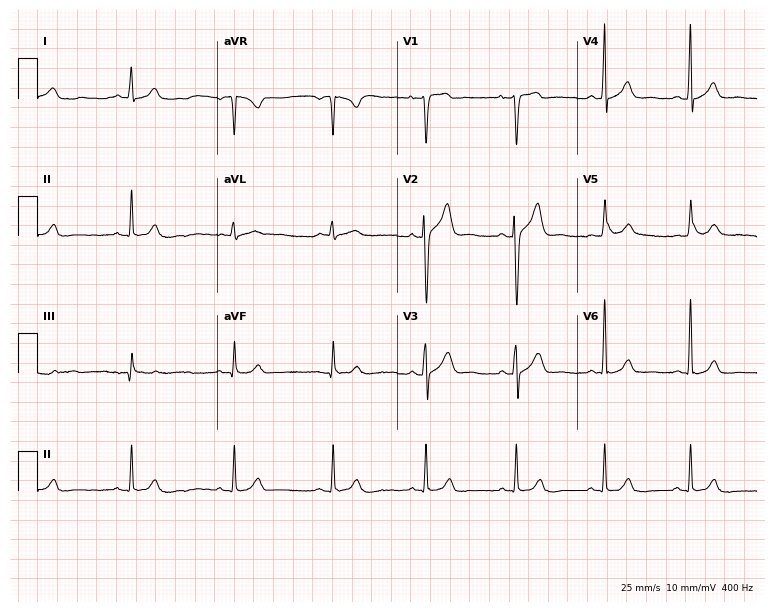
Resting 12-lead electrocardiogram. Patient: a male, 40 years old. Read as a normal ECG.